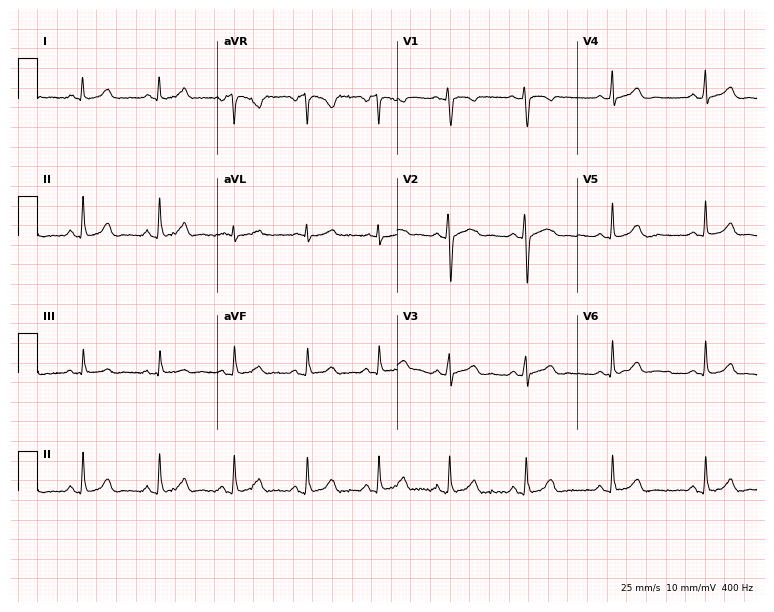
Electrocardiogram (7.3-second recording at 400 Hz), a 37-year-old woman. Of the six screened findings (first-degree AV block, right bundle branch block, left bundle branch block, sinus bradycardia, atrial fibrillation, sinus tachycardia), none is recorded. Only these six findings were labelled.